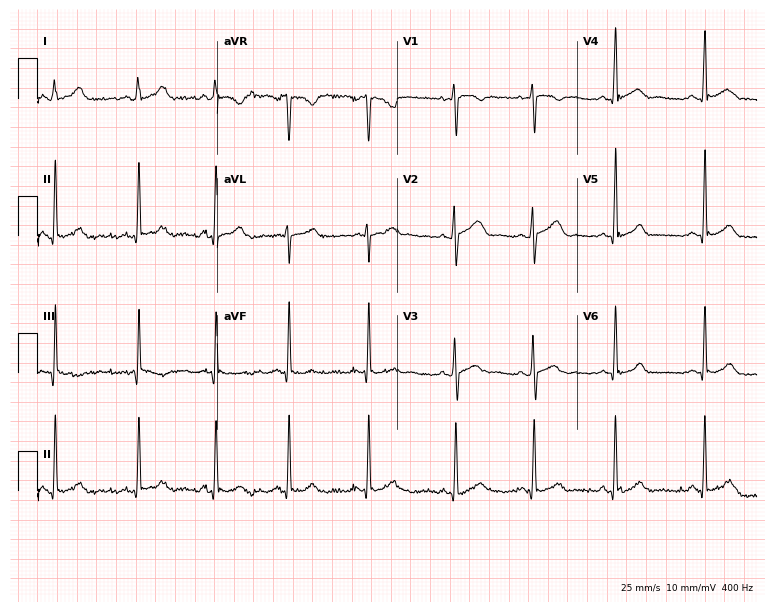
Electrocardiogram, a female patient, 18 years old. Overall reading on record: normal ECG.